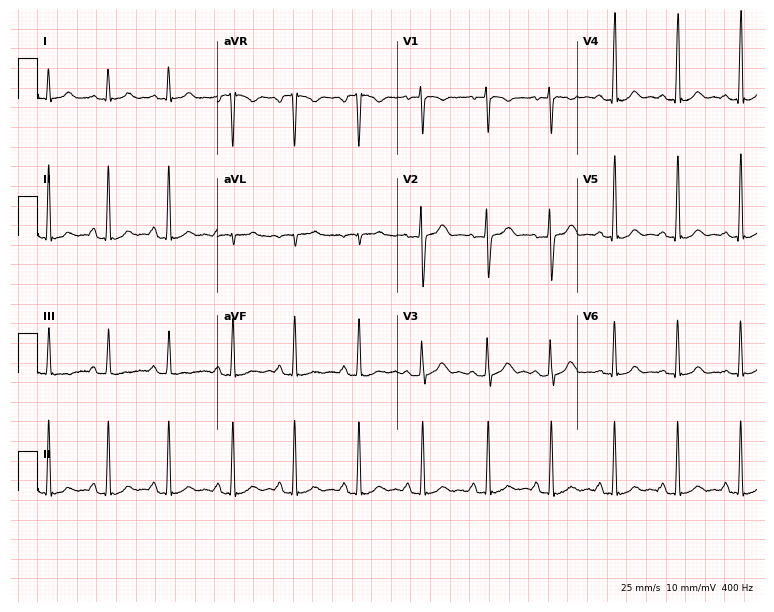
Electrocardiogram, a 22-year-old woman. Of the six screened findings (first-degree AV block, right bundle branch block, left bundle branch block, sinus bradycardia, atrial fibrillation, sinus tachycardia), none is recorded.